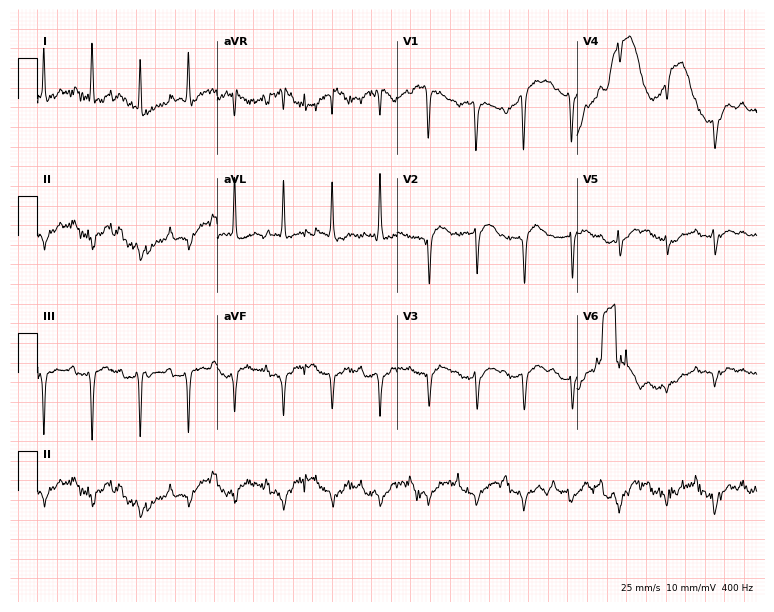
ECG — a woman, 58 years old. Screened for six findings — first-degree AV block, right bundle branch block (RBBB), left bundle branch block (LBBB), sinus bradycardia, atrial fibrillation (AF), sinus tachycardia — none is recorded.